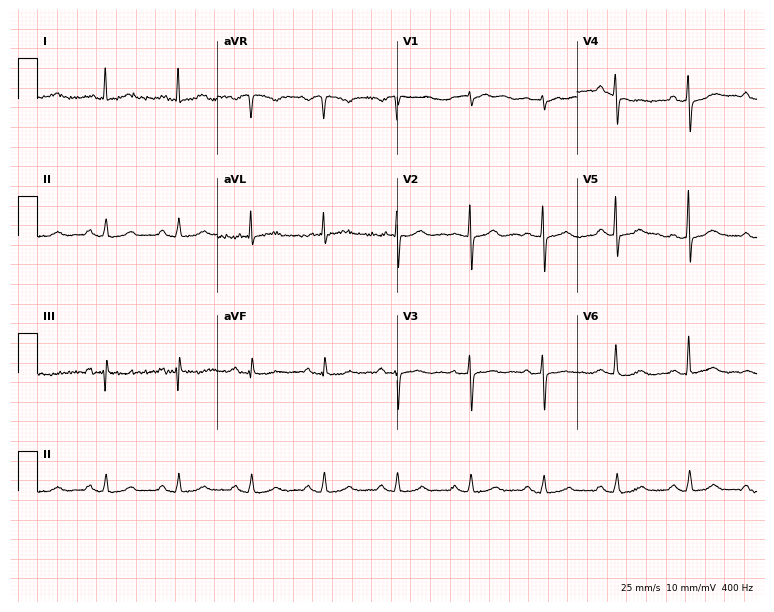
ECG (7.3-second recording at 400 Hz) — a female, 81 years old. Labelled as a normal ECG.